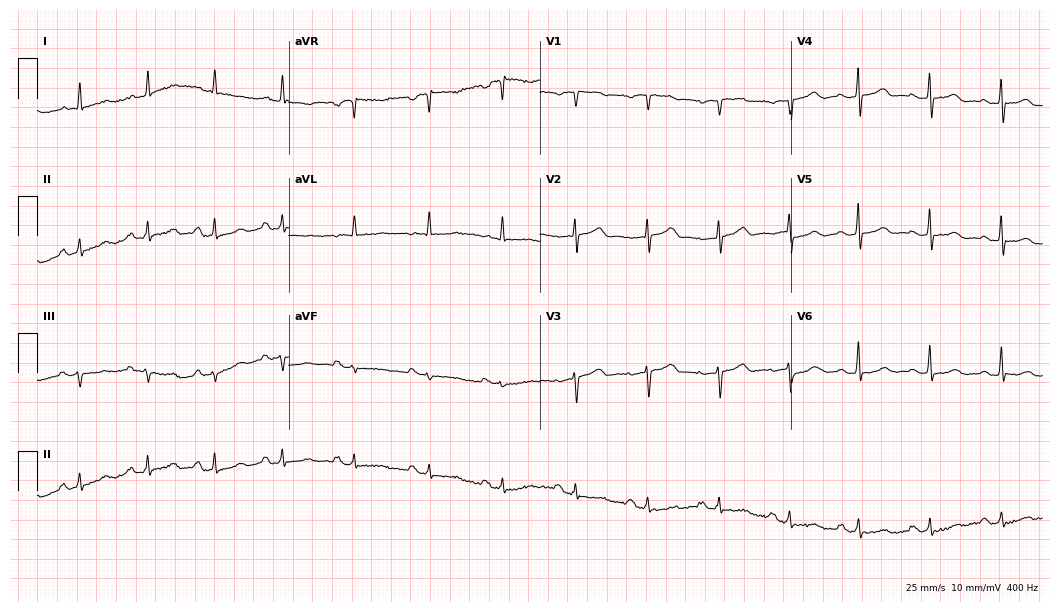
12-lead ECG from a female patient, 60 years old. Recorded interpretation: within normal limits.